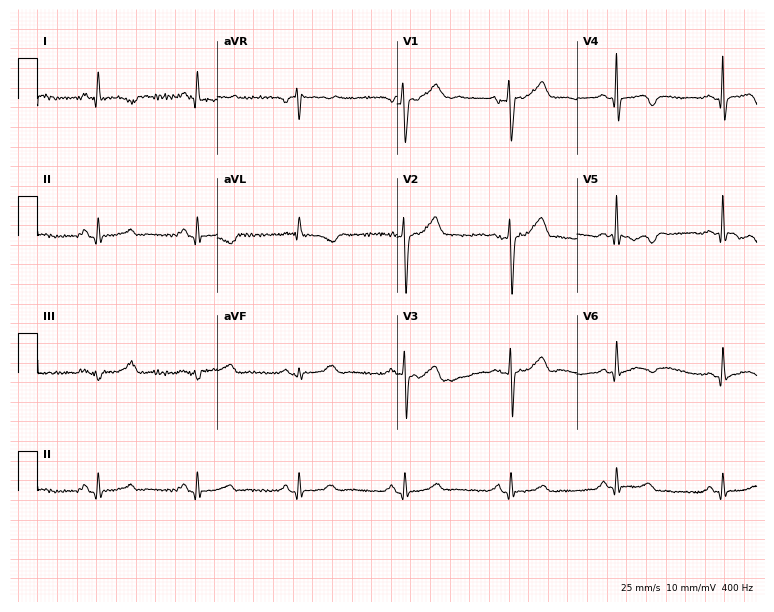
Standard 12-lead ECG recorded from a 66-year-old man. None of these six findings is recorded: first-degree AV block, right bundle branch block, left bundle branch block, sinus bradycardia, atrial fibrillation, sinus tachycardia.